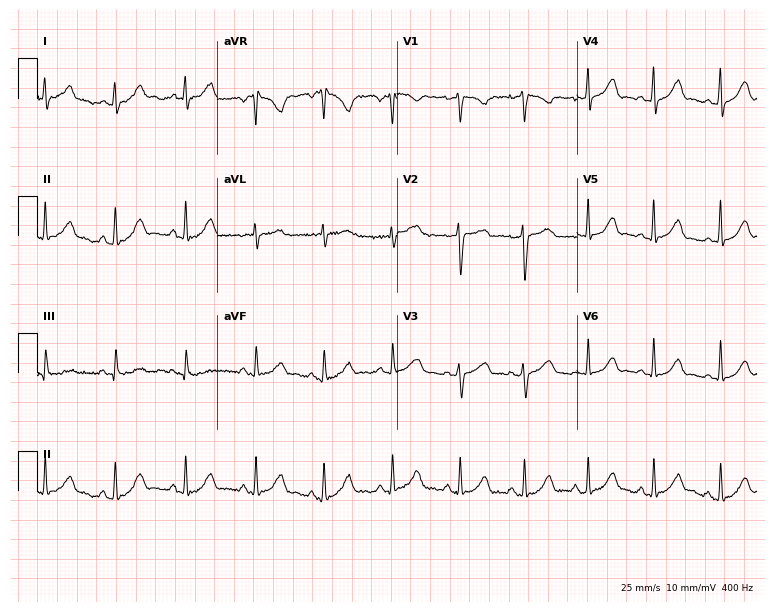
Resting 12-lead electrocardiogram. Patient: a 34-year-old woman. None of these six findings is recorded: first-degree AV block, right bundle branch block, left bundle branch block, sinus bradycardia, atrial fibrillation, sinus tachycardia. Other findings, if any, are not listed.